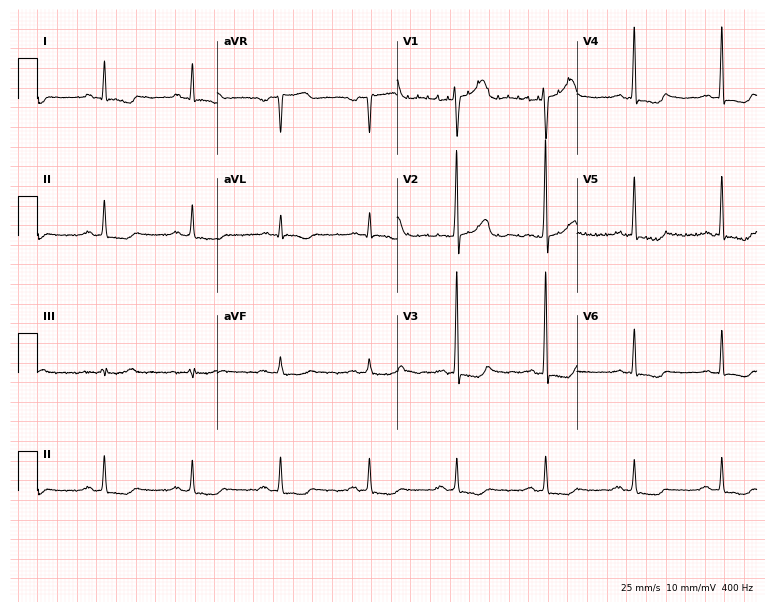
ECG (7.3-second recording at 400 Hz) — a man, 65 years old. Screened for six findings — first-degree AV block, right bundle branch block (RBBB), left bundle branch block (LBBB), sinus bradycardia, atrial fibrillation (AF), sinus tachycardia — none is recorded. Other findings, if any, are not listed.